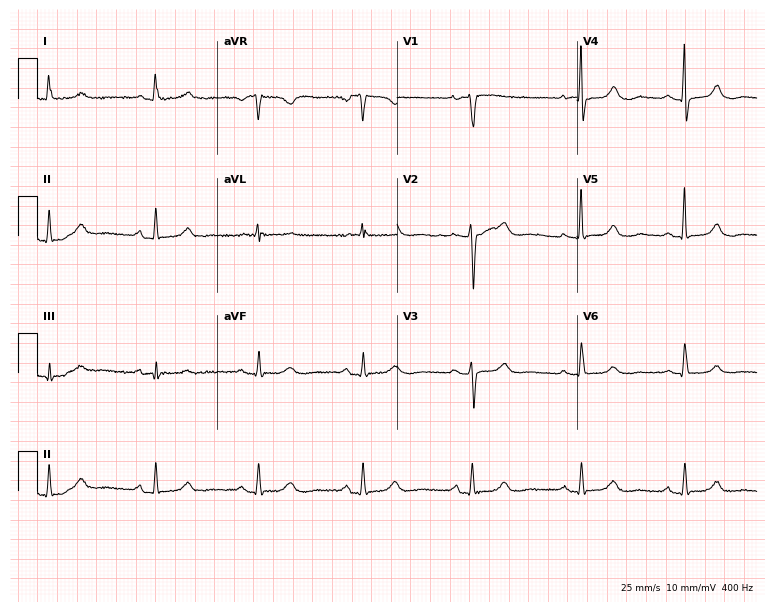
Standard 12-lead ECG recorded from an 82-year-old female patient. Read as a normal ECG.